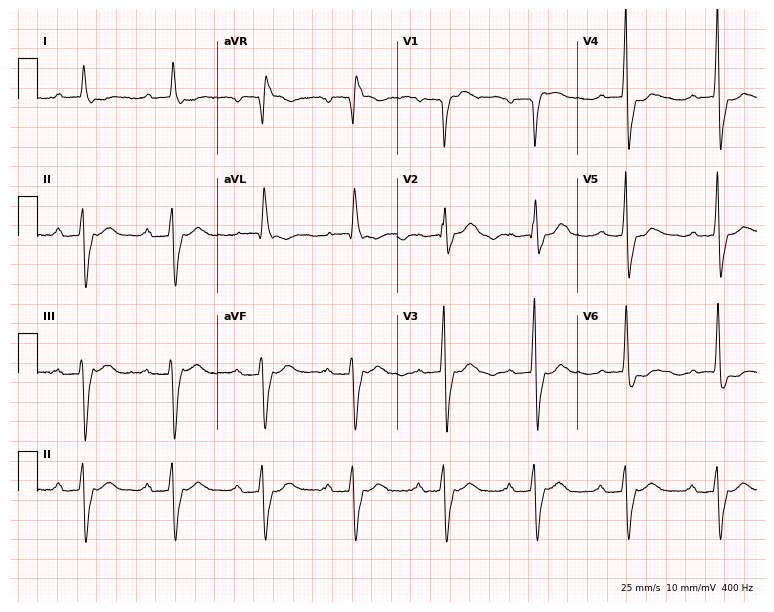
12-lead ECG from a man, 83 years old. No first-degree AV block, right bundle branch block, left bundle branch block, sinus bradycardia, atrial fibrillation or sinus tachycardia recorded for this tracing.